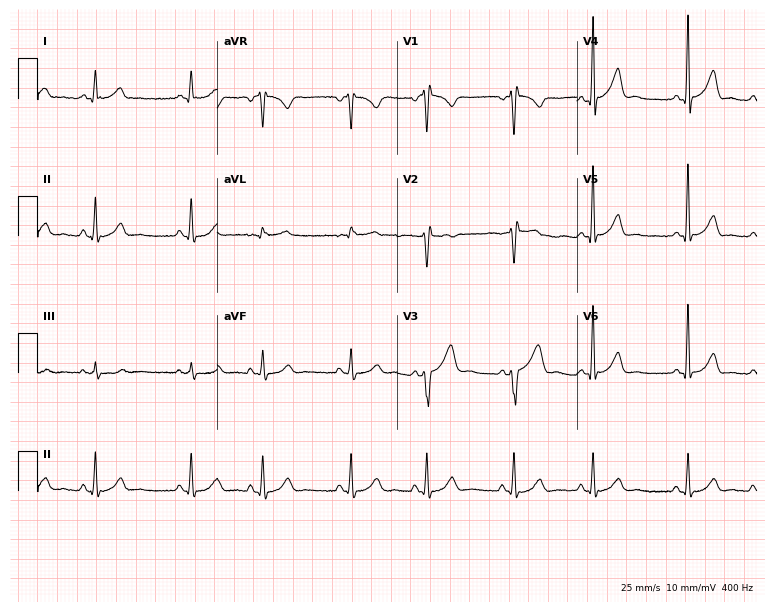
ECG (7.3-second recording at 400 Hz) — a 54-year-old male patient. Labelled as a normal ECG.